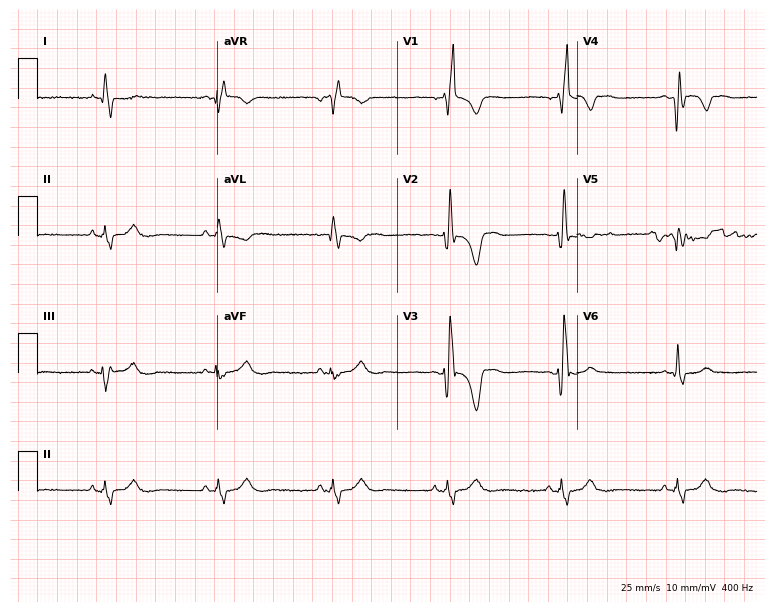
Standard 12-lead ECG recorded from a man, 79 years old (7.3-second recording at 400 Hz). The tracing shows right bundle branch block (RBBB).